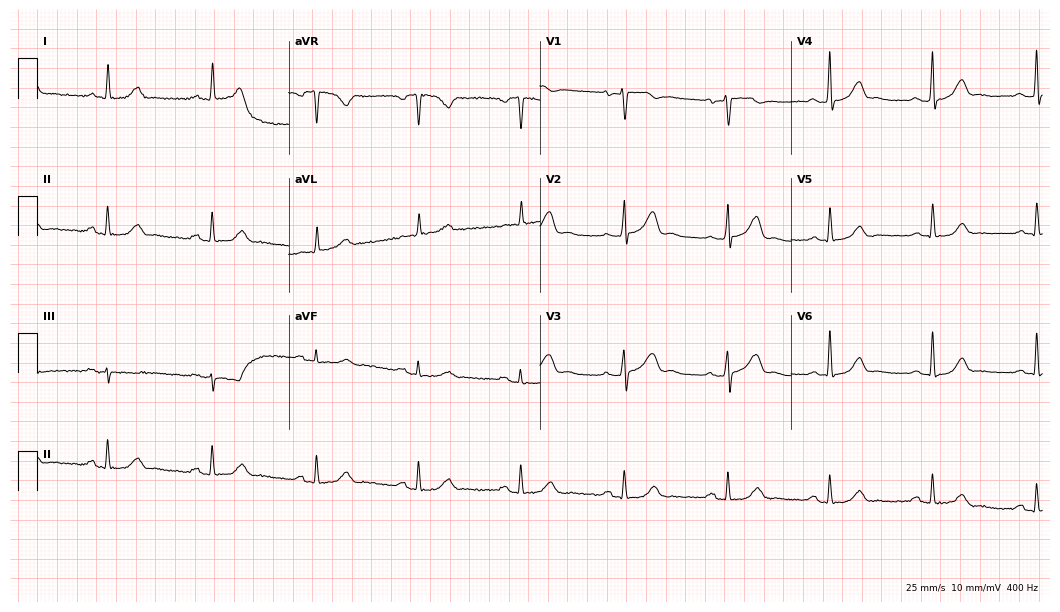
Standard 12-lead ECG recorded from a female, 60 years old (10.2-second recording at 400 Hz). Read as a normal ECG.